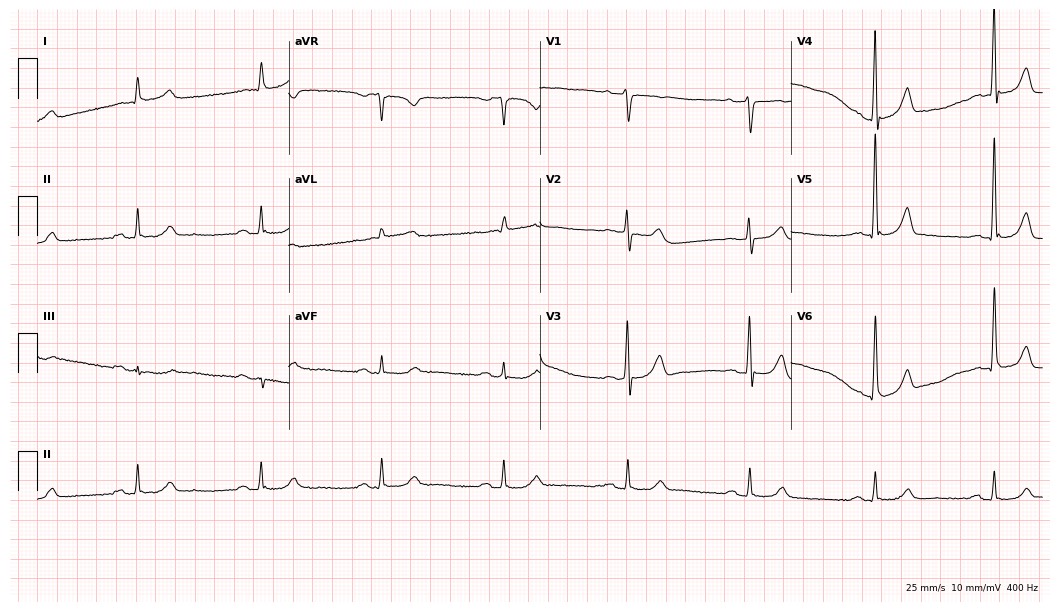
Standard 12-lead ECG recorded from a 72-year-old male patient (10.2-second recording at 400 Hz). None of these six findings is recorded: first-degree AV block, right bundle branch block, left bundle branch block, sinus bradycardia, atrial fibrillation, sinus tachycardia. Only these six findings were labelled.